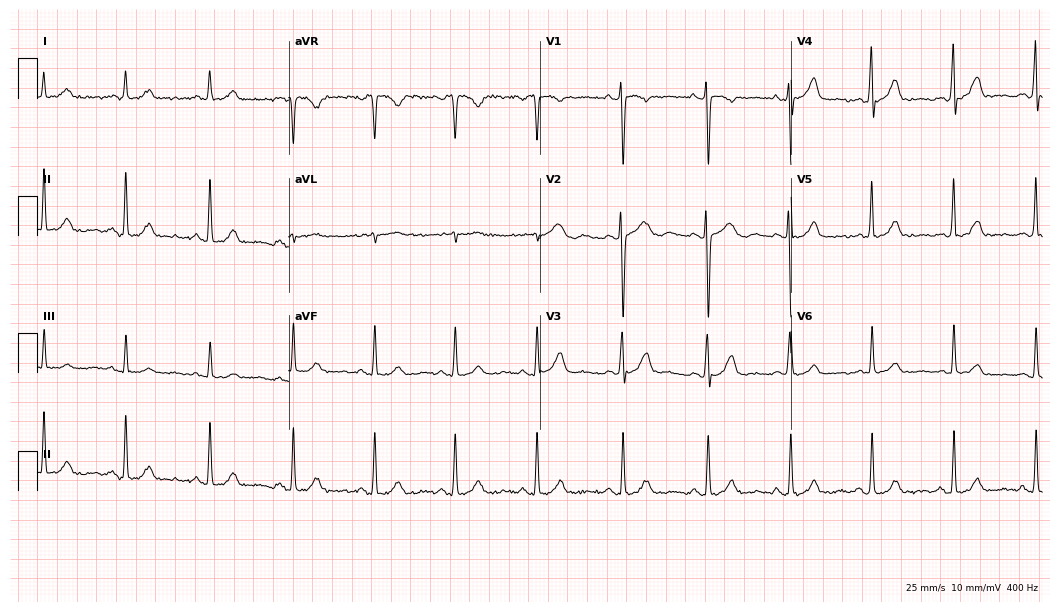
12-lead ECG from a woman, 57 years old (10.2-second recording at 400 Hz). Recorded interpretation: within normal limits.